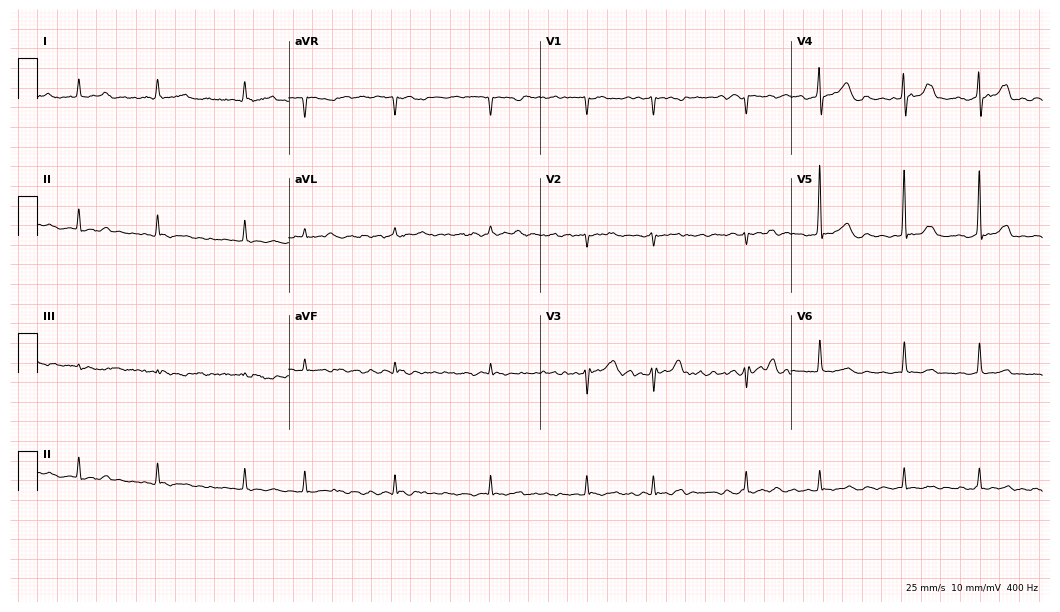
ECG — a male, 52 years old. Findings include atrial fibrillation.